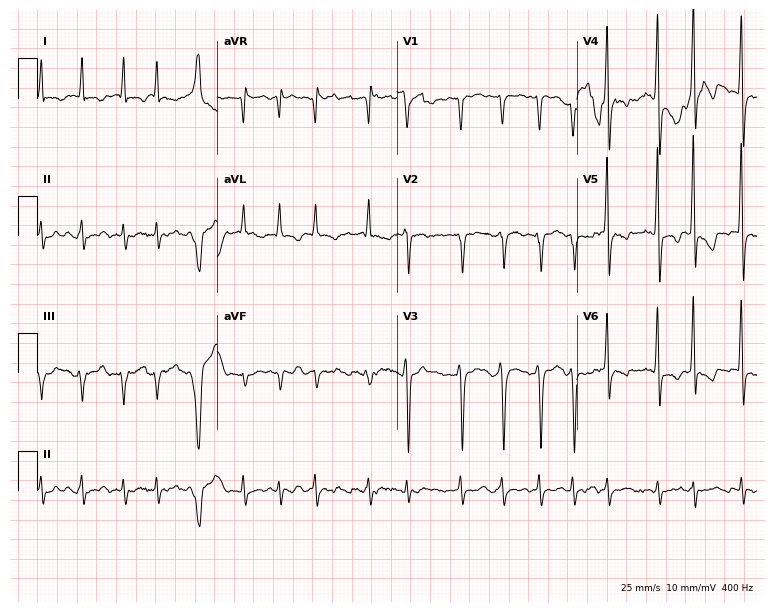
12-lead ECG from a 68-year-old man. No first-degree AV block, right bundle branch block (RBBB), left bundle branch block (LBBB), sinus bradycardia, atrial fibrillation (AF) or sinus tachycardia recorded for this tracing.